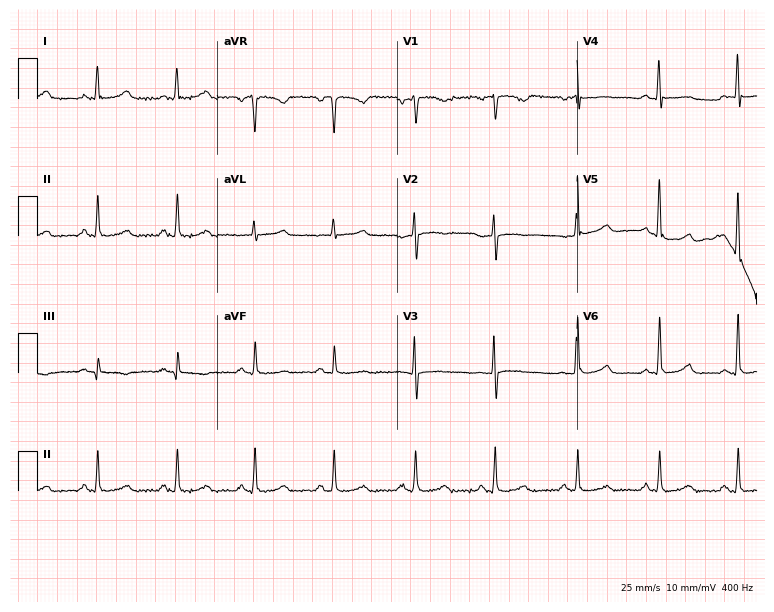
Resting 12-lead electrocardiogram (7.3-second recording at 400 Hz). Patient: a female, 58 years old. Read as a normal ECG.